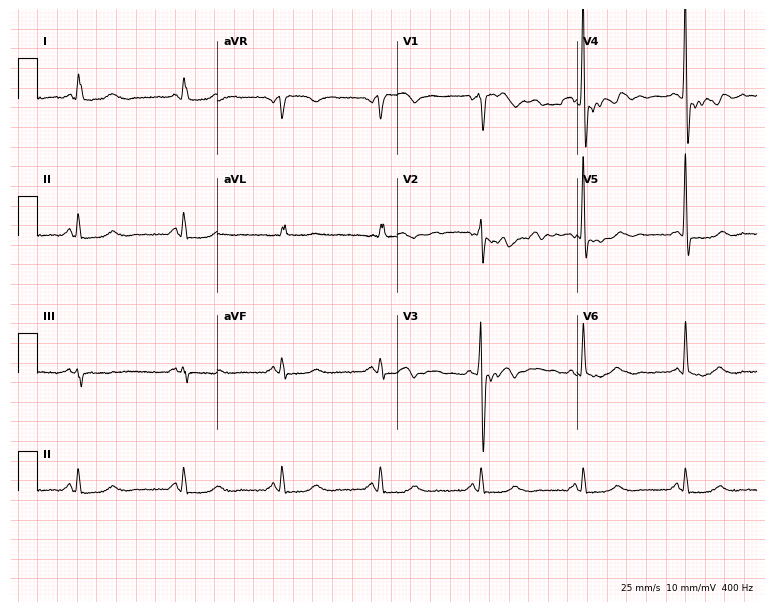
12-lead ECG (7.3-second recording at 400 Hz) from a male patient, 74 years old. Screened for six findings — first-degree AV block, right bundle branch block (RBBB), left bundle branch block (LBBB), sinus bradycardia, atrial fibrillation (AF), sinus tachycardia — none is recorded. Other findings, if any, are not listed.